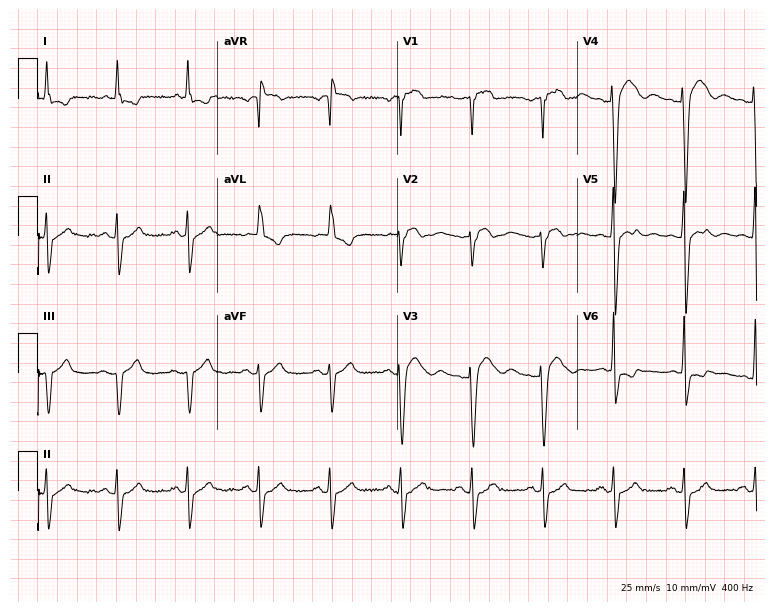
Resting 12-lead electrocardiogram. Patient: a male, 67 years old. None of these six findings is recorded: first-degree AV block, right bundle branch block, left bundle branch block, sinus bradycardia, atrial fibrillation, sinus tachycardia.